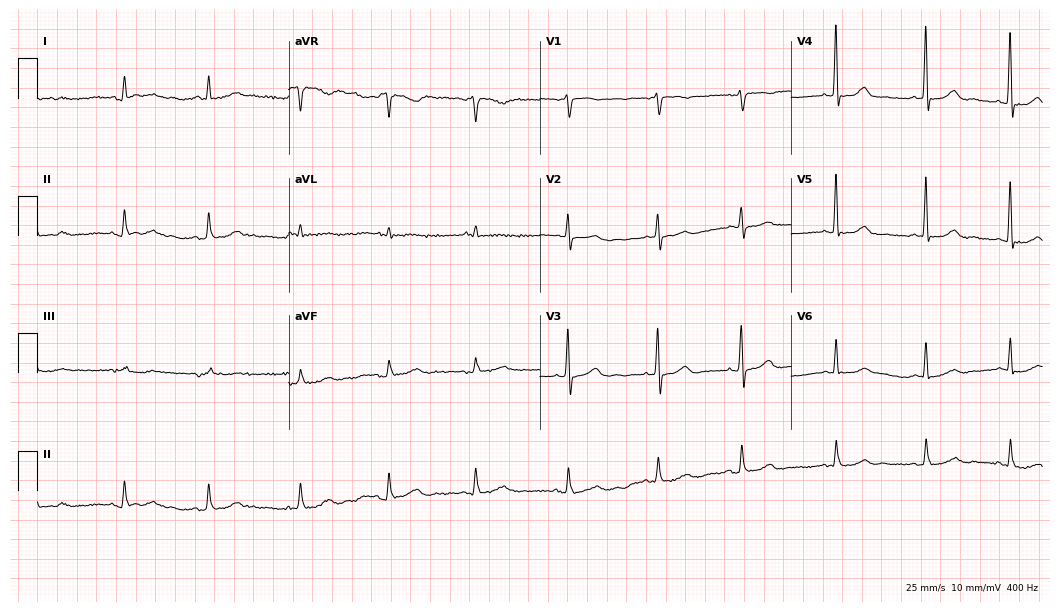
ECG — a woman, 80 years old. Labelled as a normal ECG.